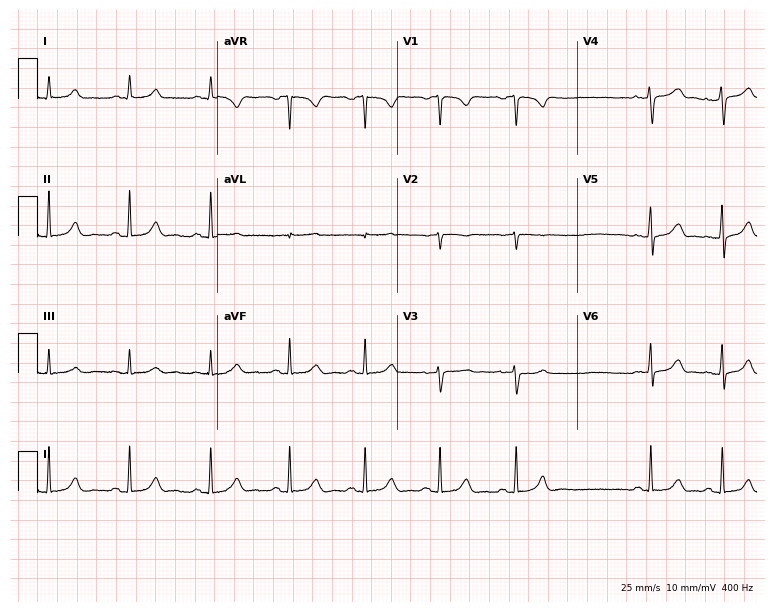
12-lead ECG from a female patient, 48 years old (7.3-second recording at 400 Hz). No first-degree AV block, right bundle branch block, left bundle branch block, sinus bradycardia, atrial fibrillation or sinus tachycardia recorded for this tracing.